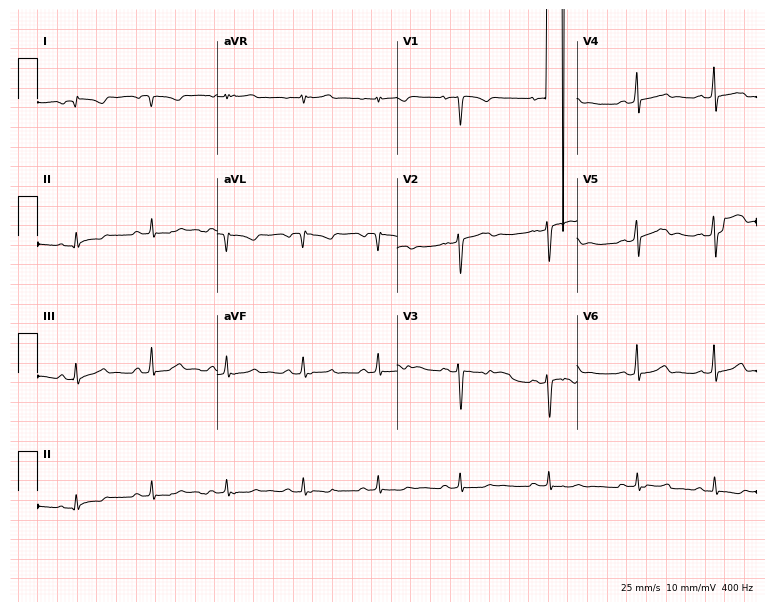
12-lead ECG (7.3-second recording at 400 Hz) from a 34-year-old female. Screened for six findings — first-degree AV block, right bundle branch block, left bundle branch block, sinus bradycardia, atrial fibrillation, sinus tachycardia — none is recorded.